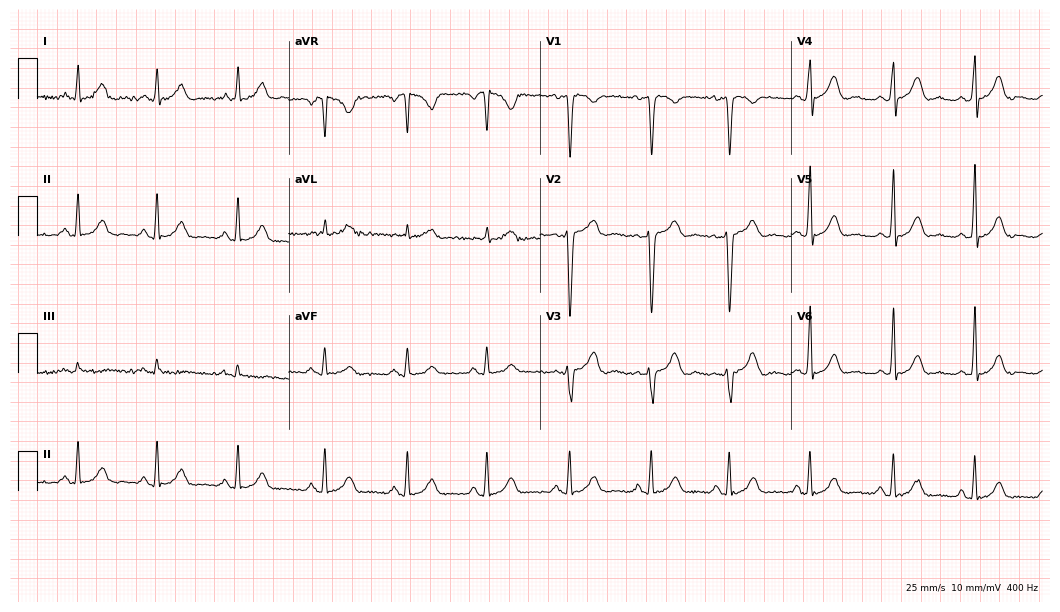
Resting 12-lead electrocardiogram (10.2-second recording at 400 Hz). Patient: a 46-year-old female. Read as a normal ECG.